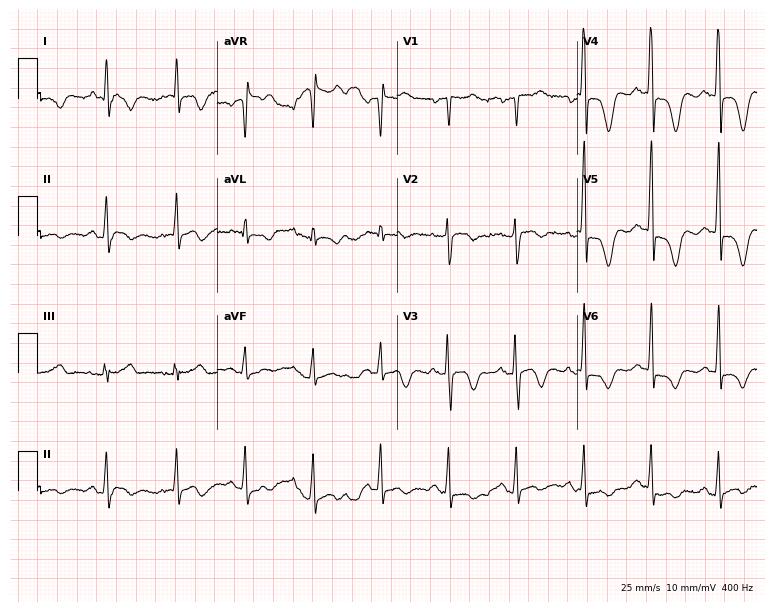
Standard 12-lead ECG recorded from a man, 47 years old (7.3-second recording at 400 Hz). None of these six findings is recorded: first-degree AV block, right bundle branch block, left bundle branch block, sinus bradycardia, atrial fibrillation, sinus tachycardia.